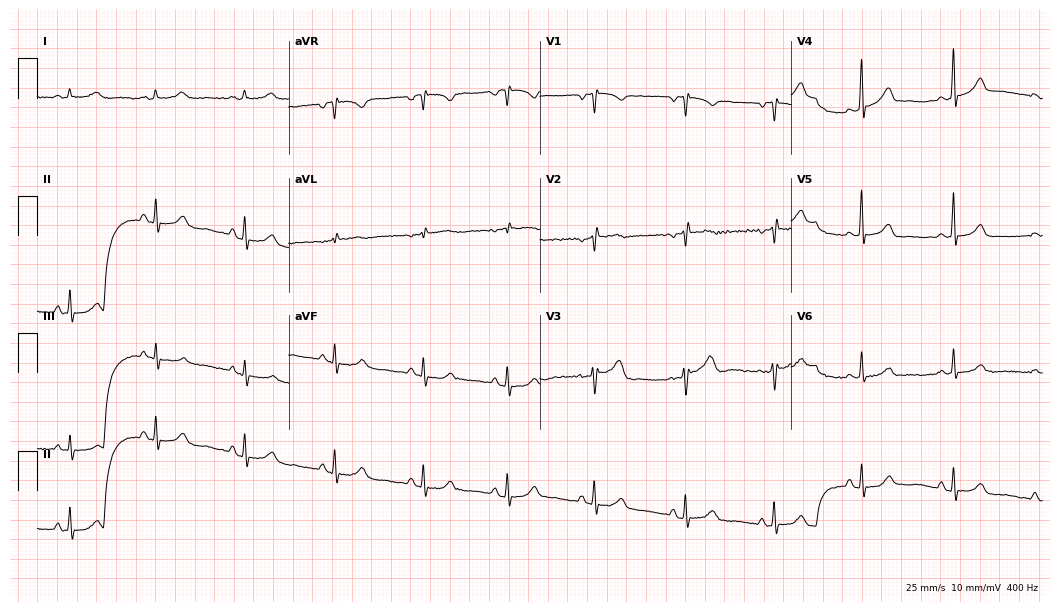
12-lead ECG (10.2-second recording at 400 Hz) from a 59-year-old woman. Screened for six findings — first-degree AV block, right bundle branch block, left bundle branch block, sinus bradycardia, atrial fibrillation, sinus tachycardia — none is recorded.